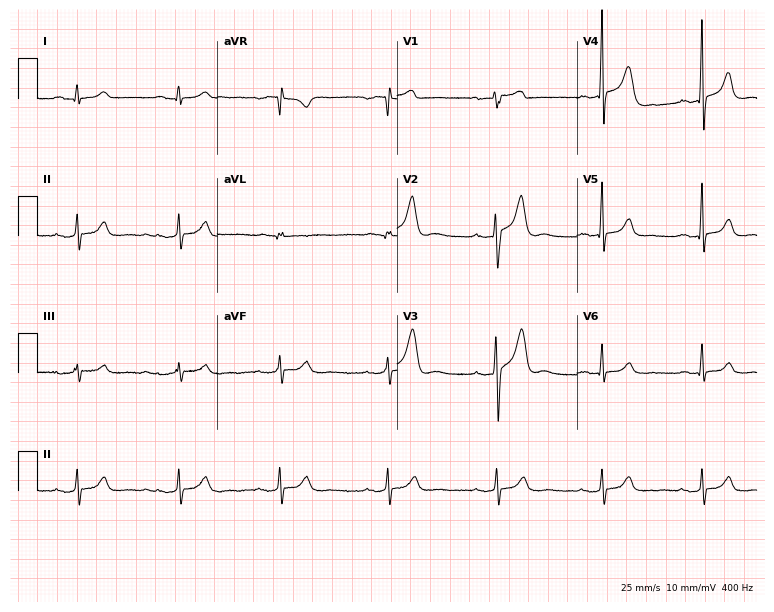
12-lead ECG from a male, 43 years old (7.3-second recording at 400 Hz). Shows first-degree AV block.